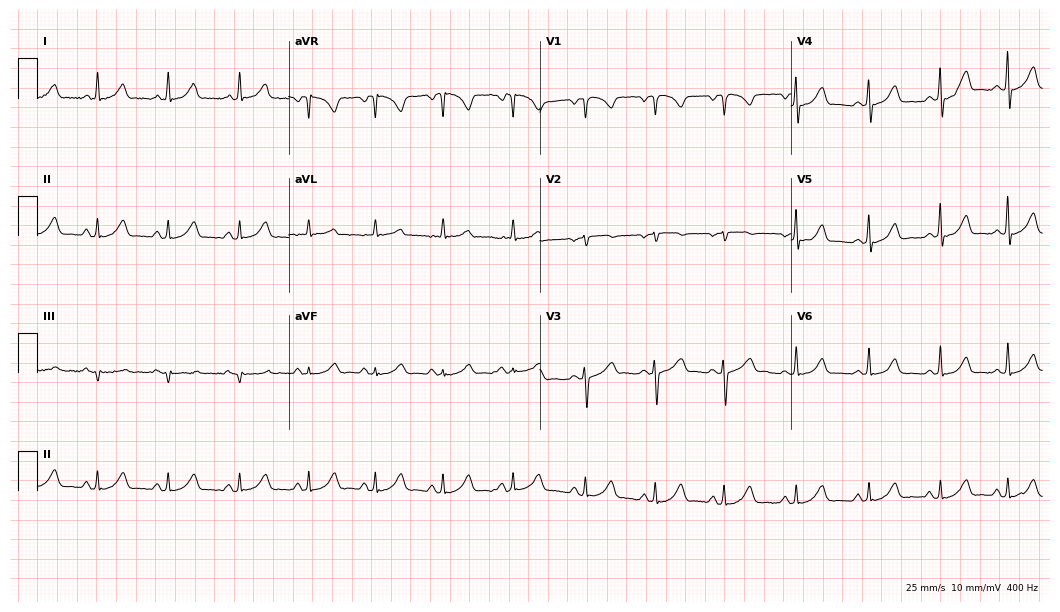
ECG — a 41-year-old female. Labelled as a normal ECG.